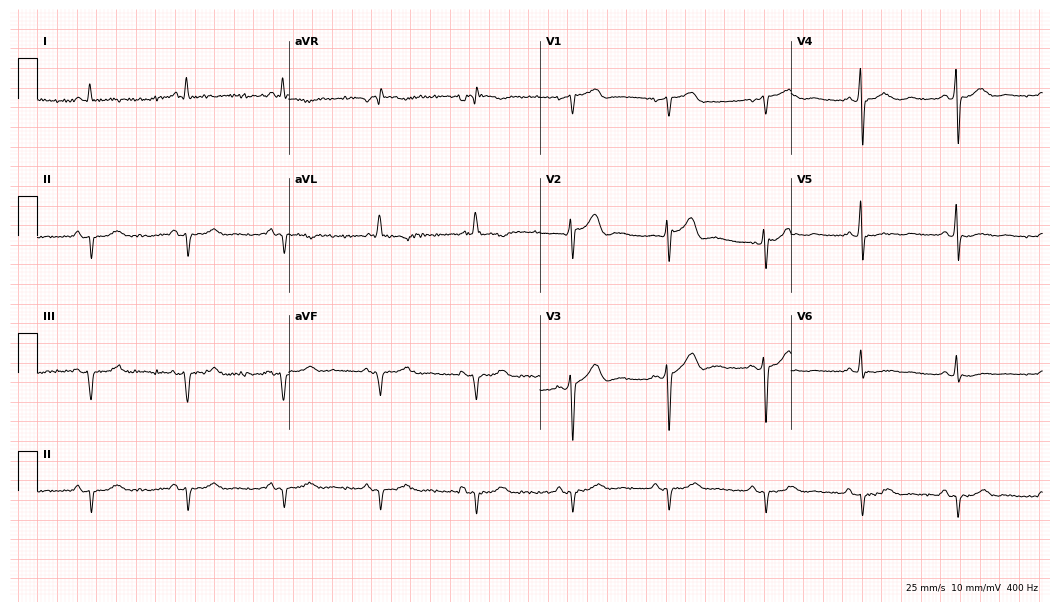
Standard 12-lead ECG recorded from a 60-year-old male patient (10.2-second recording at 400 Hz). None of these six findings is recorded: first-degree AV block, right bundle branch block, left bundle branch block, sinus bradycardia, atrial fibrillation, sinus tachycardia.